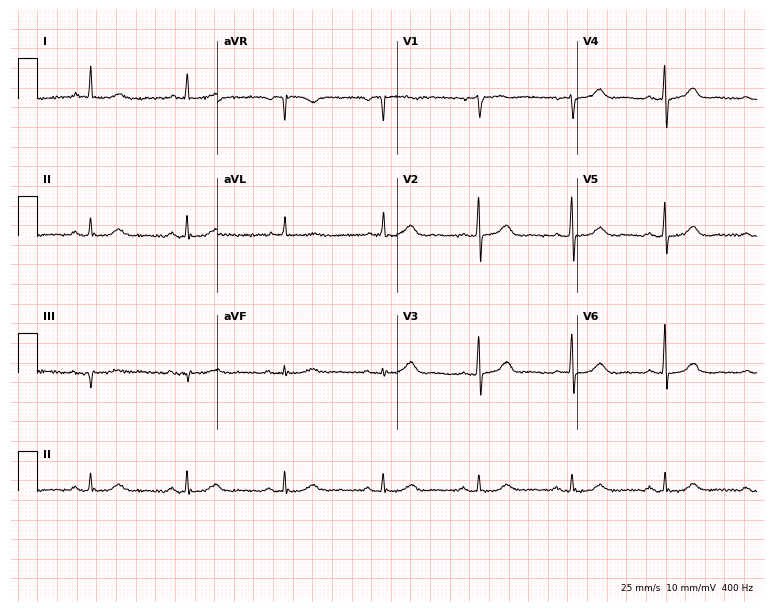
Electrocardiogram, a woman, 67 years old. Overall reading on record: normal ECG.